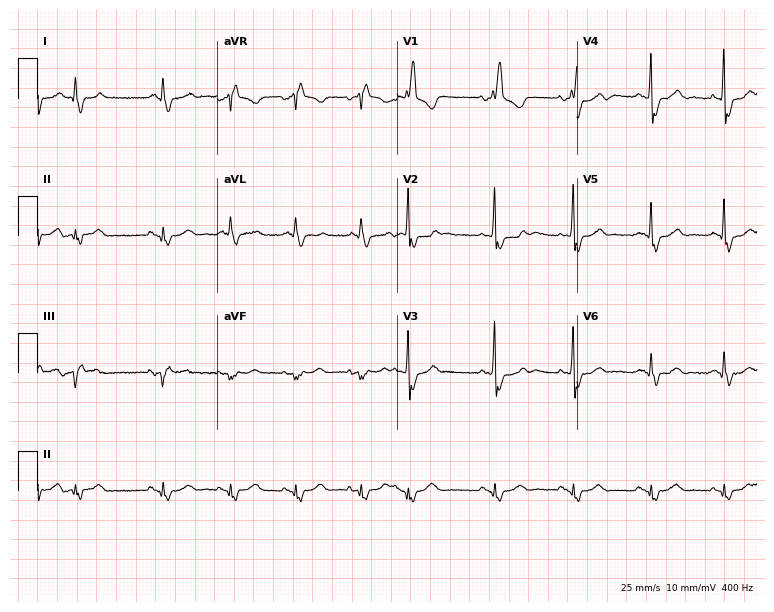
ECG — a 76-year-old male. Findings include right bundle branch block.